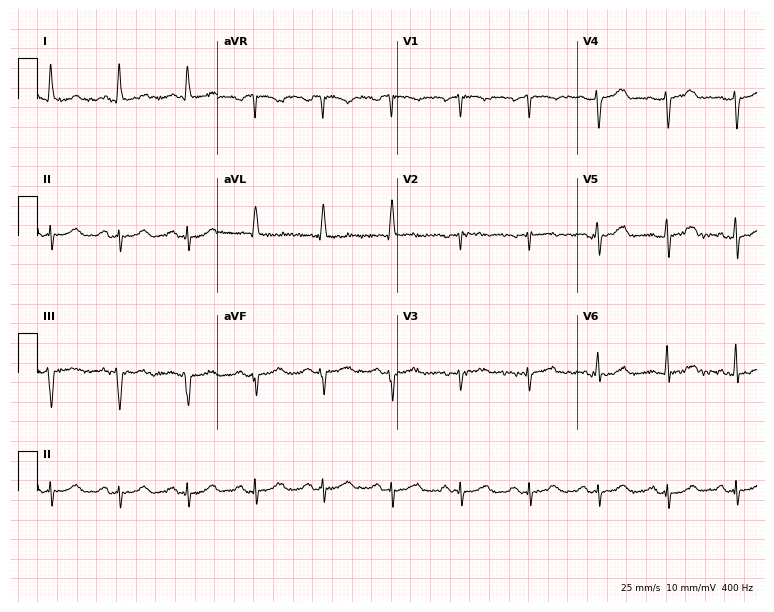
ECG (7.3-second recording at 400 Hz) — a 68-year-old woman. Screened for six findings — first-degree AV block, right bundle branch block, left bundle branch block, sinus bradycardia, atrial fibrillation, sinus tachycardia — none is recorded. Other findings, if any, are not listed.